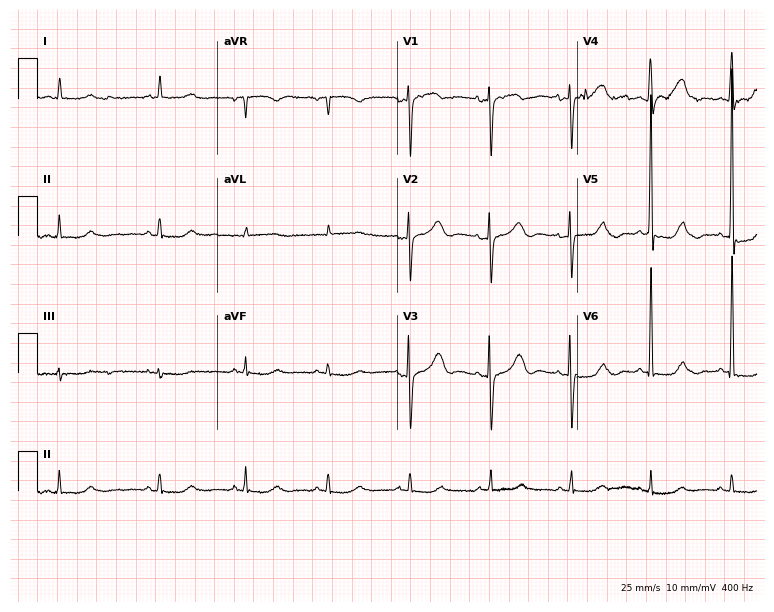
12-lead ECG (7.3-second recording at 400 Hz) from a female patient, 60 years old. Screened for six findings — first-degree AV block, right bundle branch block, left bundle branch block, sinus bradycardia, atrial fibrillation, sinus tachycardia — none is recorded.